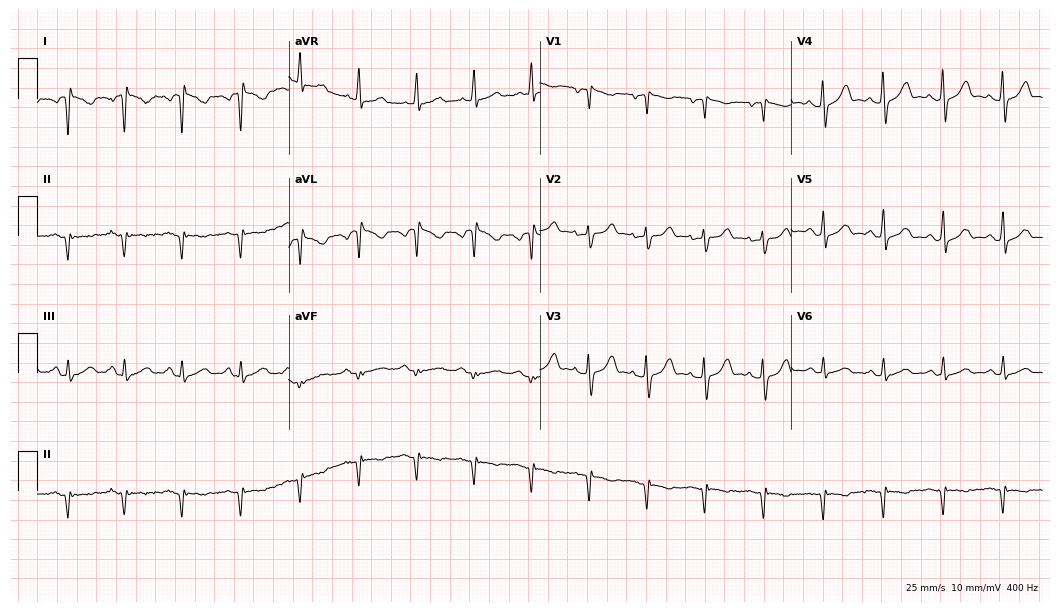
12-lead ECG from a 41-year-old female. Screened for six findings — first-degree AV block, right bundle branch block (RBBB), left bundle branch block (LBBB), sinus bradycardia, atrial fibrillation (AF), sinus tachycardia — none is recorded. Findings outside these six are not listed.